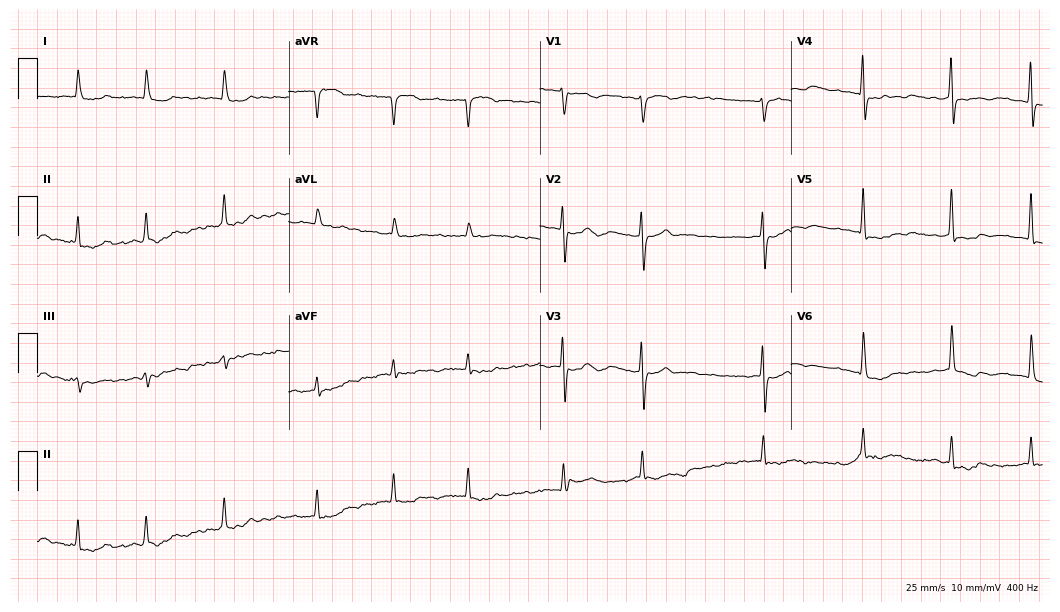
Standard 12-lead ECG recorded from a male patient, 82 years old (10.2-second recording at 400 Hz). The tracing shows atrial fibrillation.